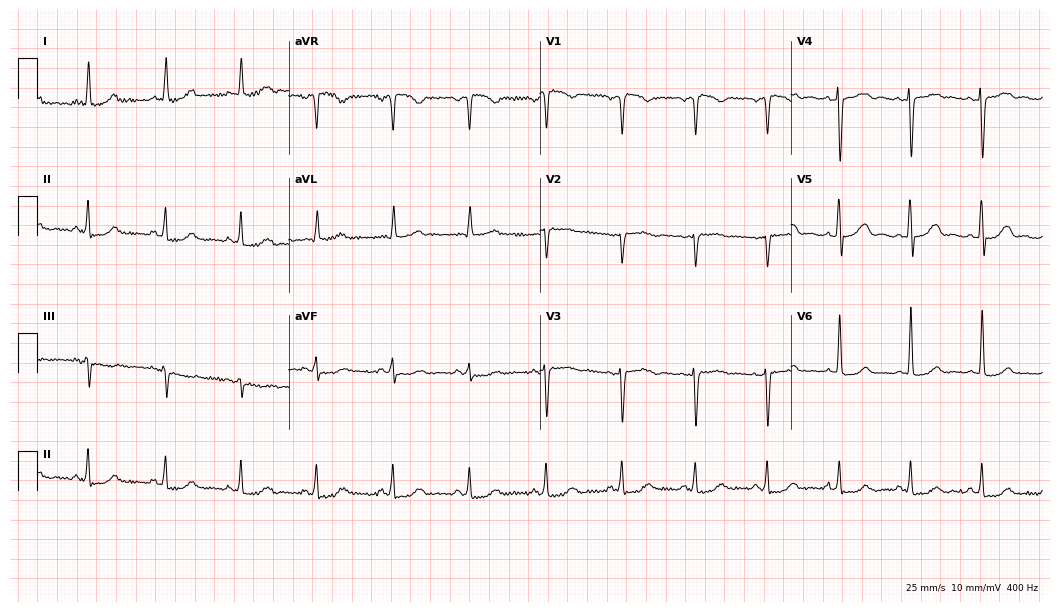
Electrocardiogram (10.2-second recording at 400 Hz), a 45-year-old woman. Of the six screened findings (first-degree AV block, right bundle branch block, left bundle branch block, sinus bradycardia, atrial fibrillation, sinus tachycardia), none is recorded. Other findings, if any, are not listed.